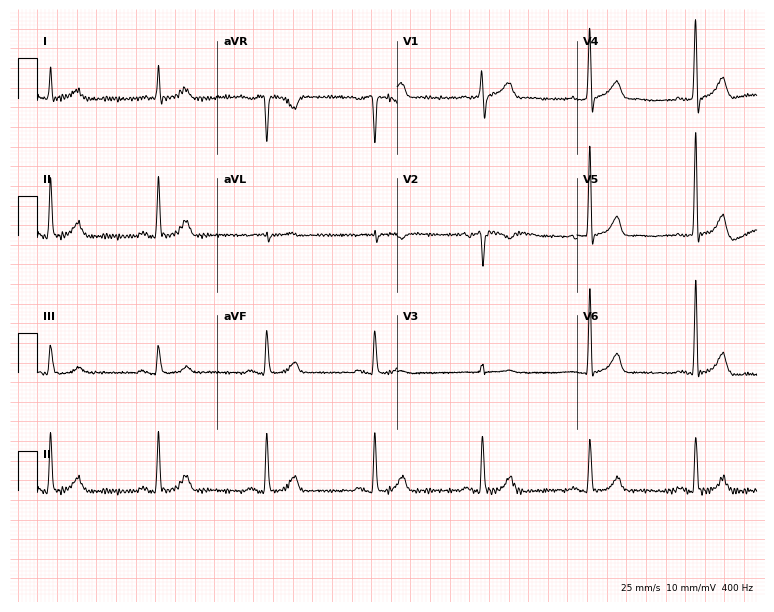
12-lead ECG from an 81-year-old female. Screened for six findings — first-degree AV block, right bundle branch block, left bundle branch block, sinus bradycardia, atrial fibrillation, sinus tachycardia — none is recorded.